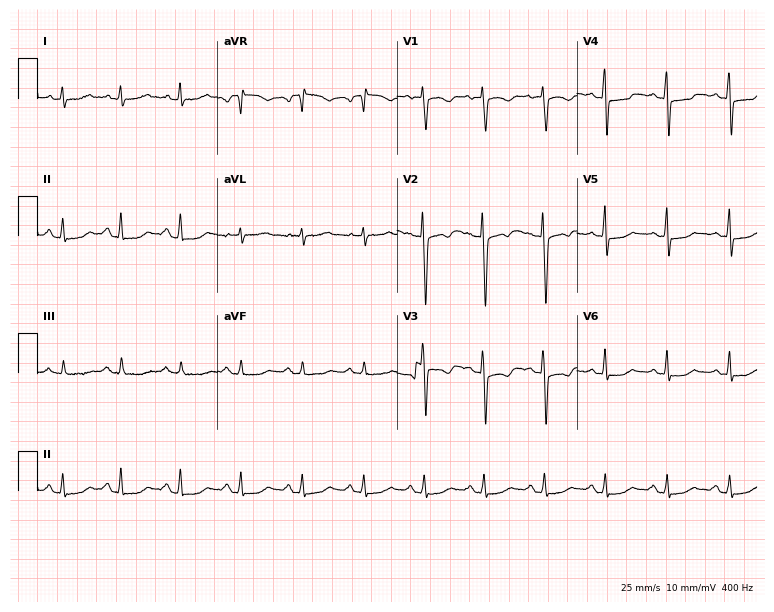
12-lead ECG (7.3-second recording at 400 Hz) from a female, 48 years old. Screened for six findings — first-degree AV block, right bundle branch block, left bundle branch block, sinus bradycardia, atrial fibrillation, sinus tachycardia — none is recorded. Findings outside these six are not listed.